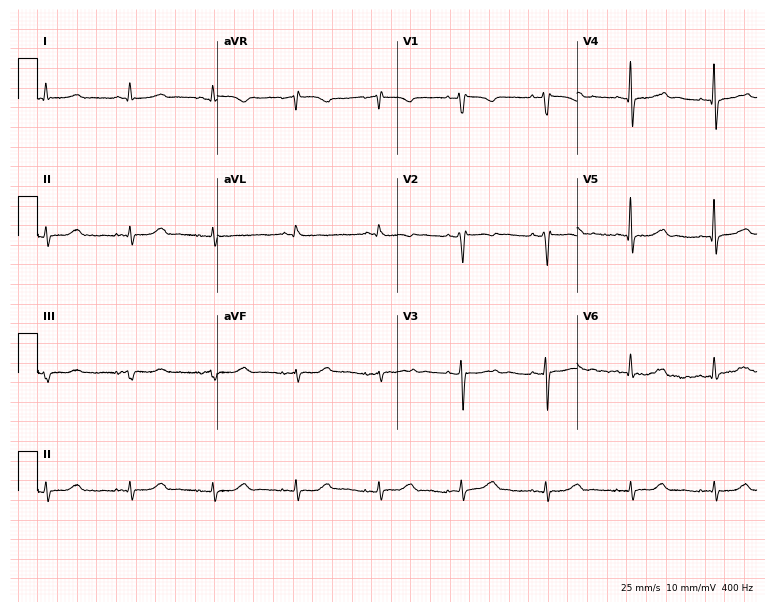
12-lead ECG from a 69-year-old female patient. Screened for six findings — first-degree AV block, right bundle branch block, left bundle branch block, sinus bradycardia, atrial fibrillation, sinus tachycardia — none is recorded.